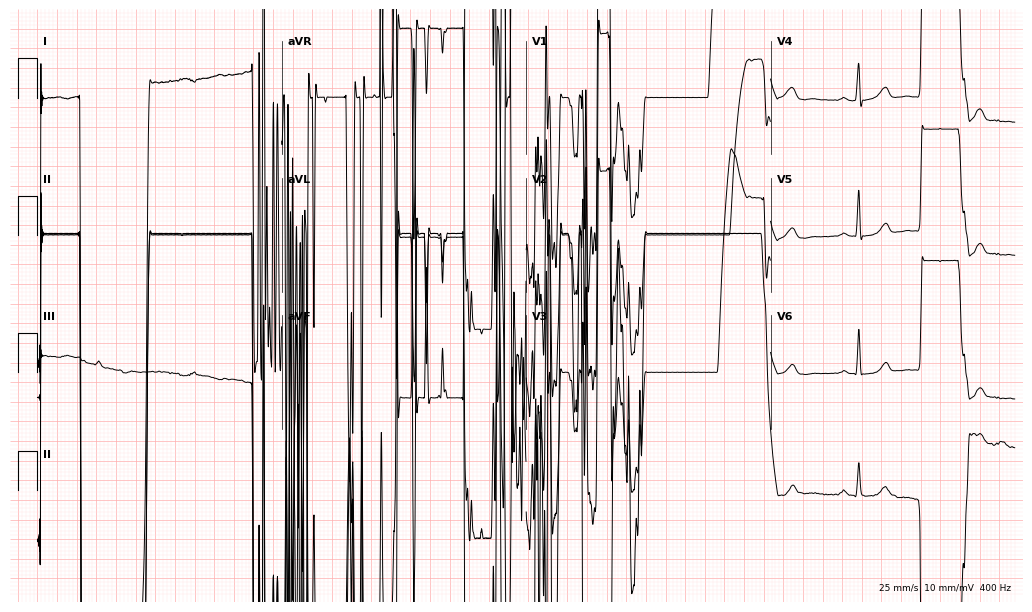
Resting 12-lead electrocardiogram. Patient: a 39-year-old female. None of these six findings is recorded: first-degree AV block, right bundle branch block, left bundle branch block, sinus bradycardia, atrial fibrillation, sinus tachycardia.